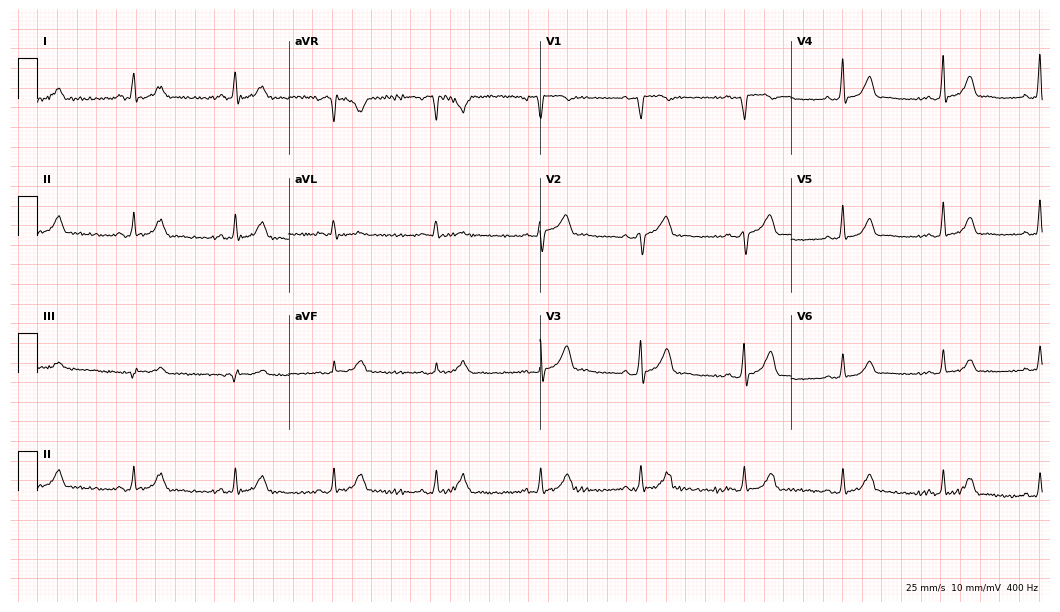
Electrocardiogram (10.2-second recording at 400 Hz), a male patient, 57 years old. Of the six screened findings (first-degree AV block, right bundle branch block, left bundle branch block, sinus bradycardia, atrial fibrillation, sinus tachycardia), none is recorded.